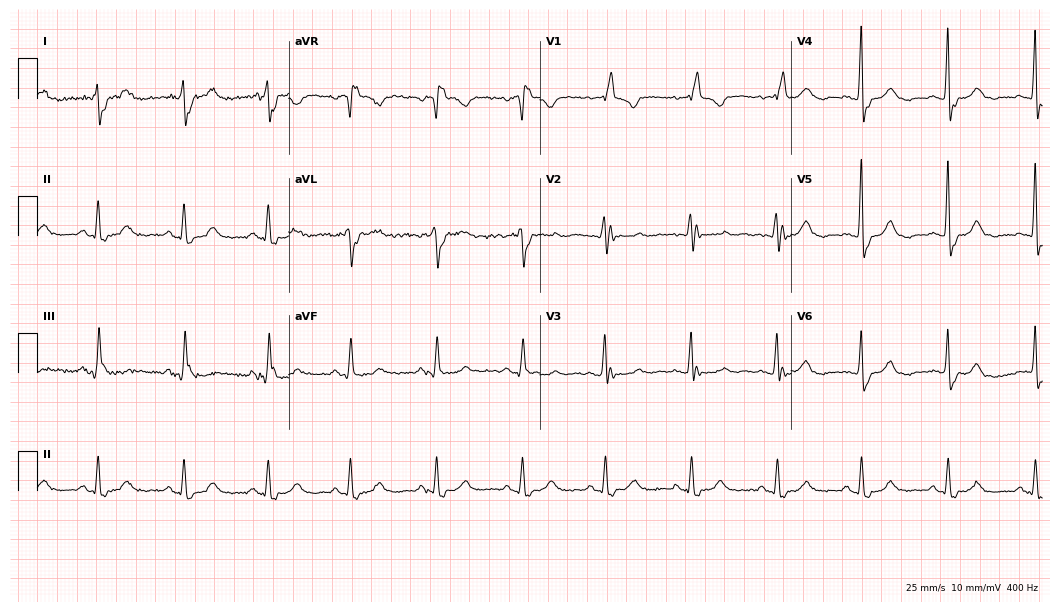
Electrocardiogram (10.2-second recording at 400 Hz), a woman, 80 years old. Interpretation includes right bundle branch block (RBBB).